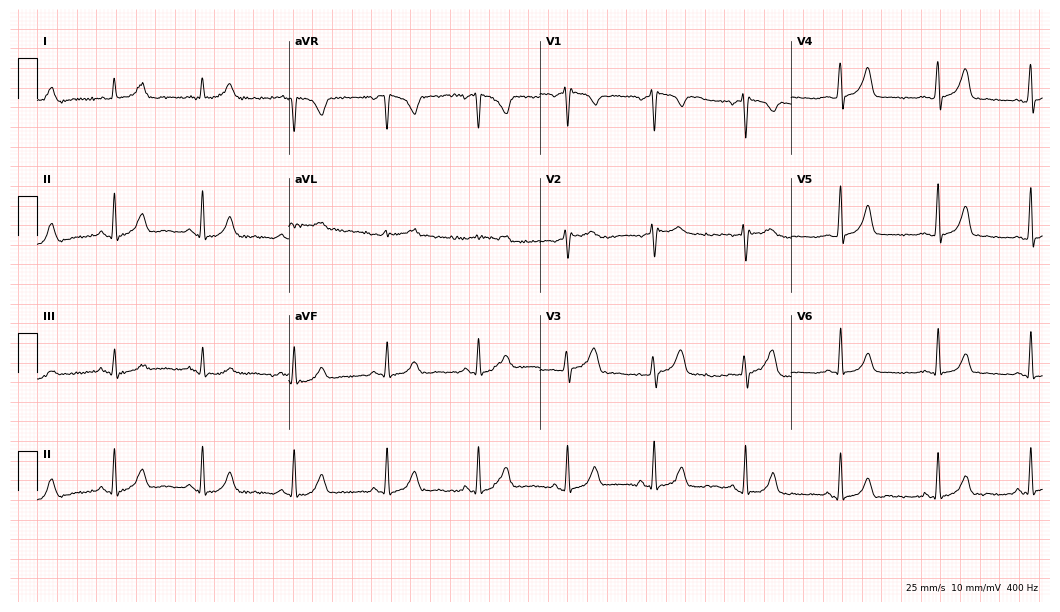
Standard 12-lead ECG recorded from a female, 44 years old. None of these six findings is recorded: first-degree AV block, right bundle branch block (RBBB), left bundle branch block (LBBB), sinus bradycardia, atrial fibrillation (AF), sinus tachycardia.